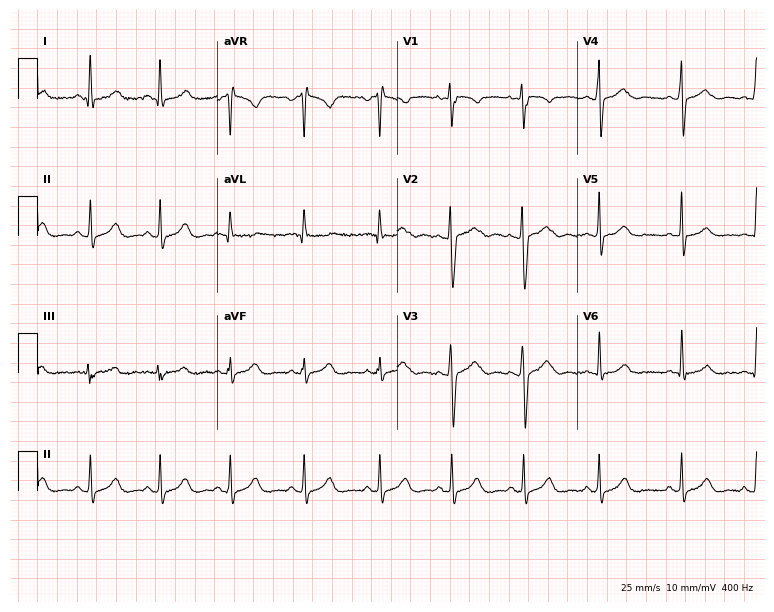
12-lead ECG (7.3-second recording at 400 Hz) from a 23-year-old woman. Labelled as a normal ECG.